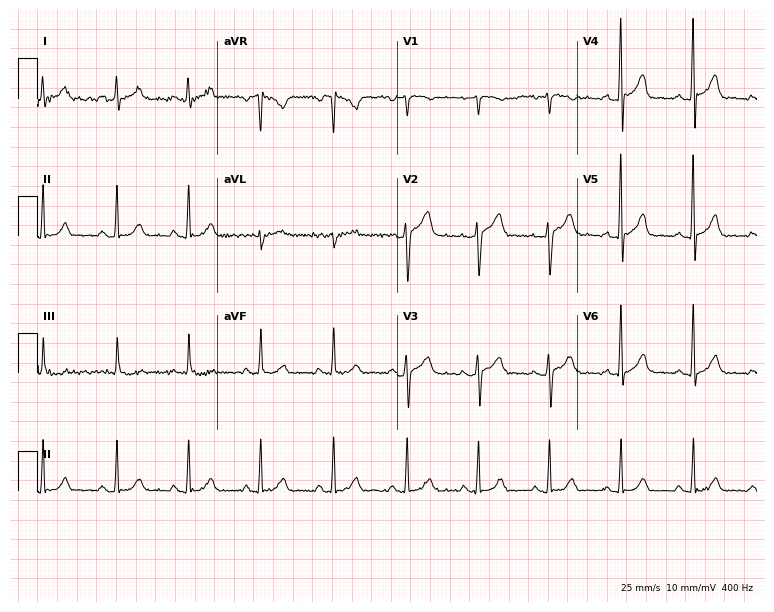
Resting 12-lead electrocardiogram (7.3-second recording at 400 Hz). Patient: a male, 42 years old. Read as a normal ECG.